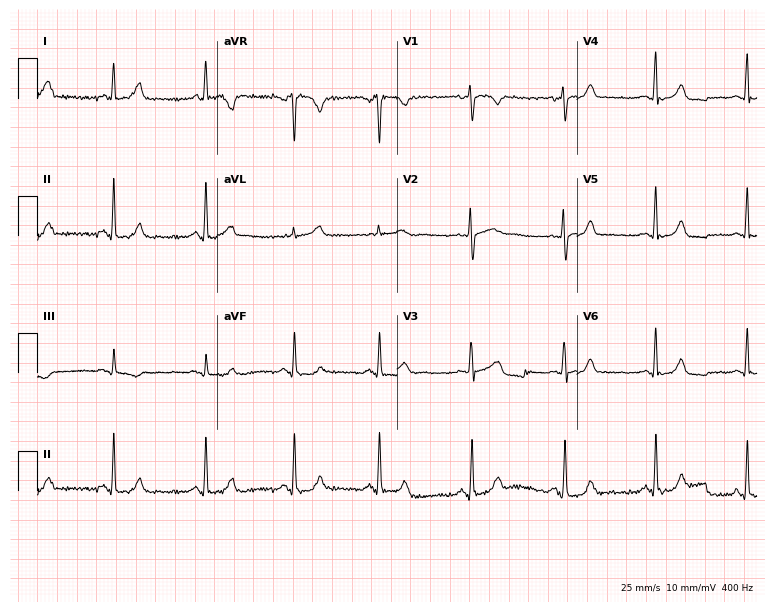
Standard 12-lead ECG recorded from a woman, 35 years old (7.3-second recording at 400 Hz). Read as a normal ECG.